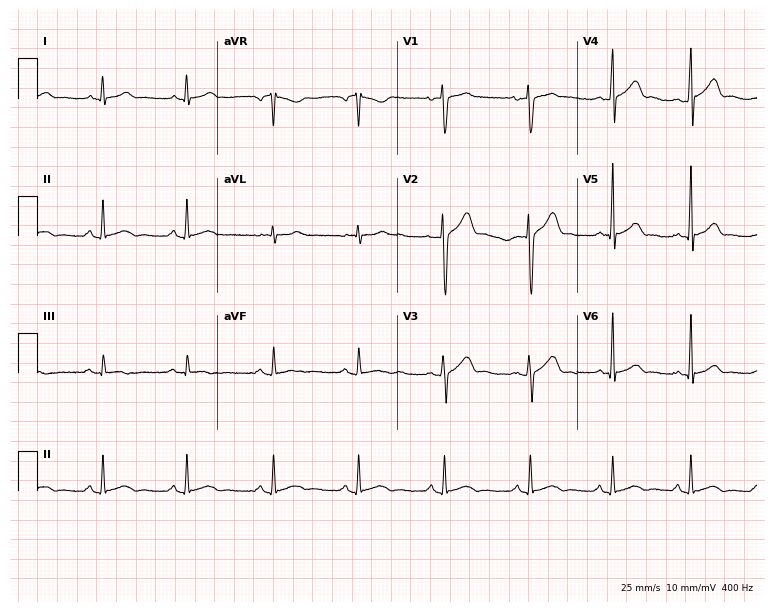
12-lead ECG from a male, 31 years old (7.3-second recording at 400 Hz). Recorded interpretation: within normal limits.